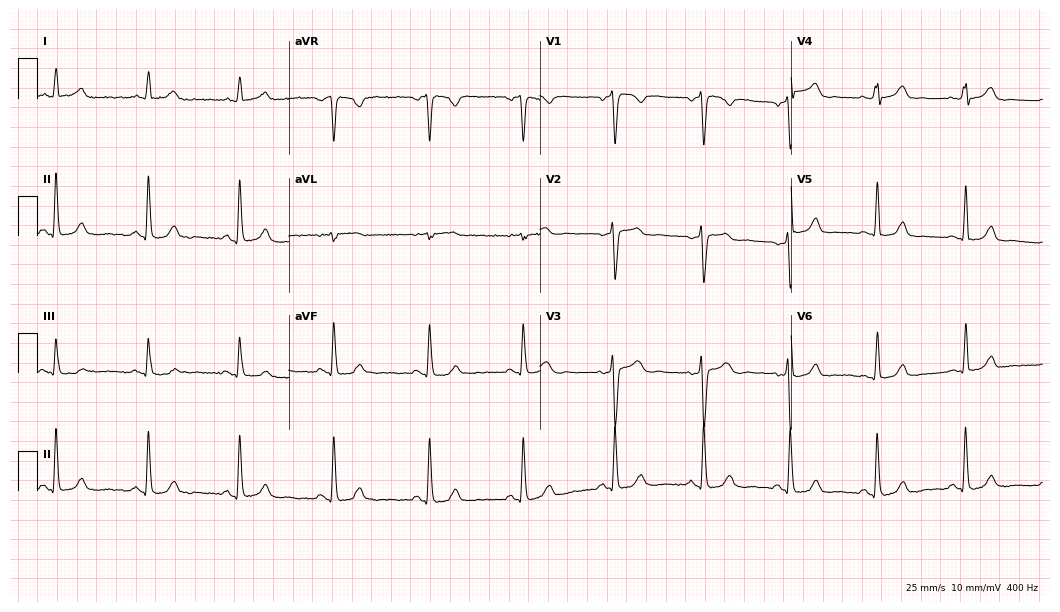
Standard 12-lead ECG recorded from a 43-year-old female patient (10.2-second recording at 400 Hz). Read as a normal ECG.